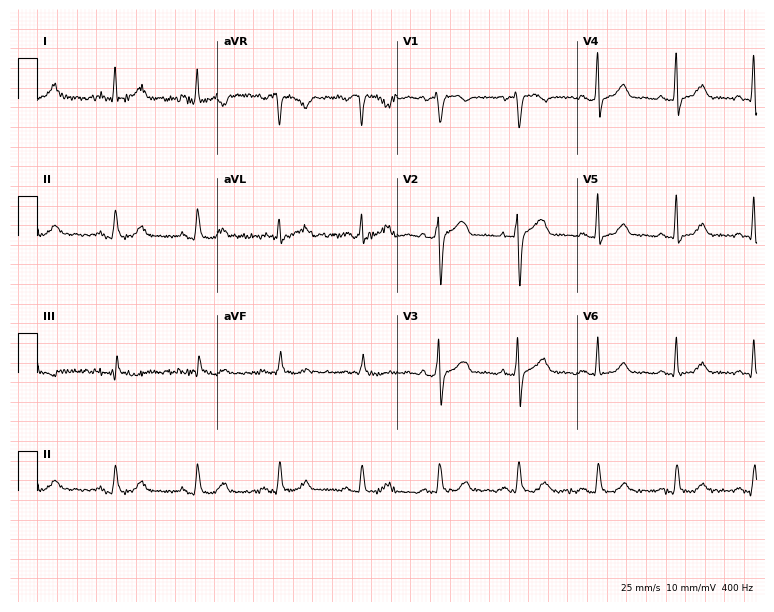
ECG — a 52-year-old female patient. Labelled as a normal ECG.